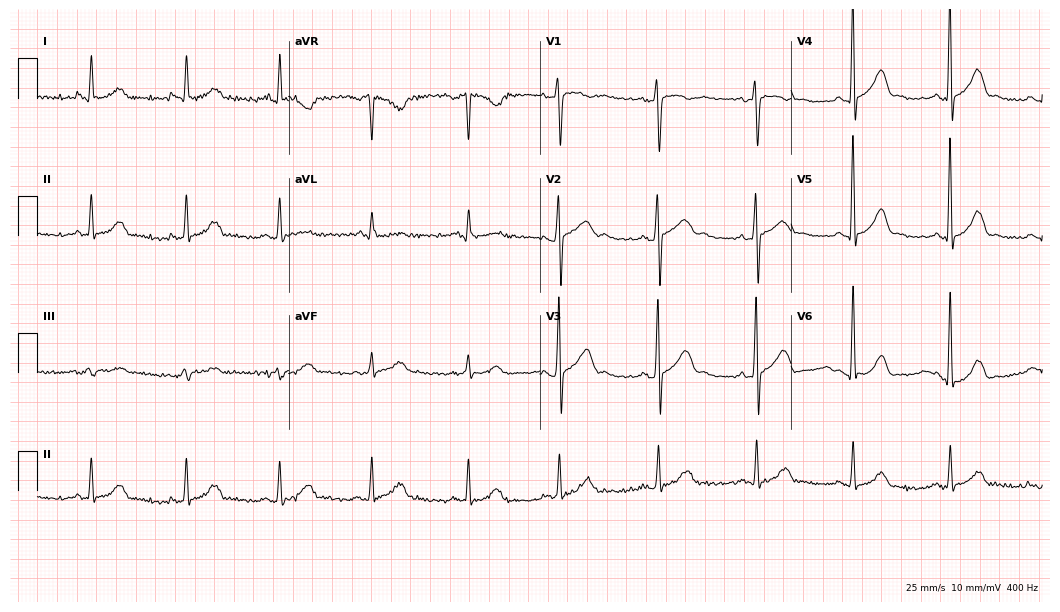
Resting 12-lead electrocardiogram (10.2-second recording at 400 Hz). Patient: a male, 52 years old. Read as a normal ECG.